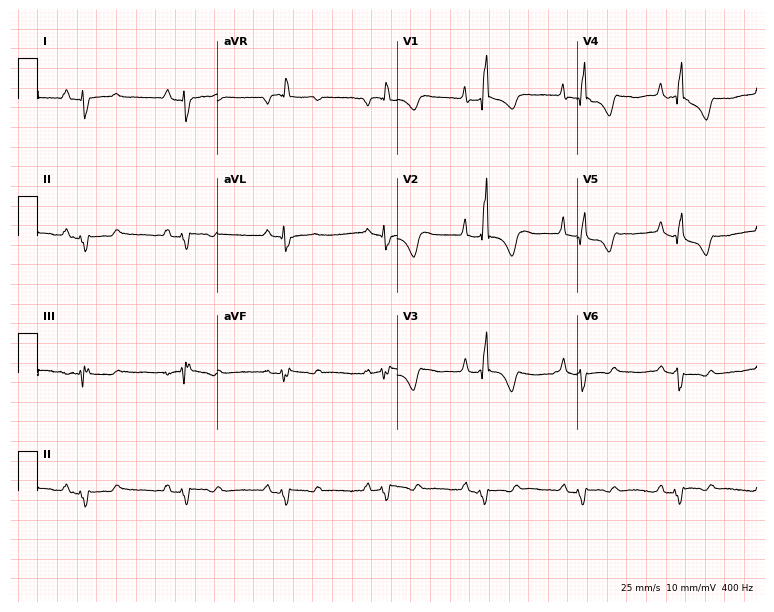
Resting 12-lead electrocardiogram (7.3-second recording at 400 Hz). Patient: a woman, 24 years old. None of these six findings is recorded: first-degree AV block, right bundle branch block (RBBB), left bundle branch block (LBBB), sinus bradycardia, atrial fibrillation (AF), sinus tachycardia.